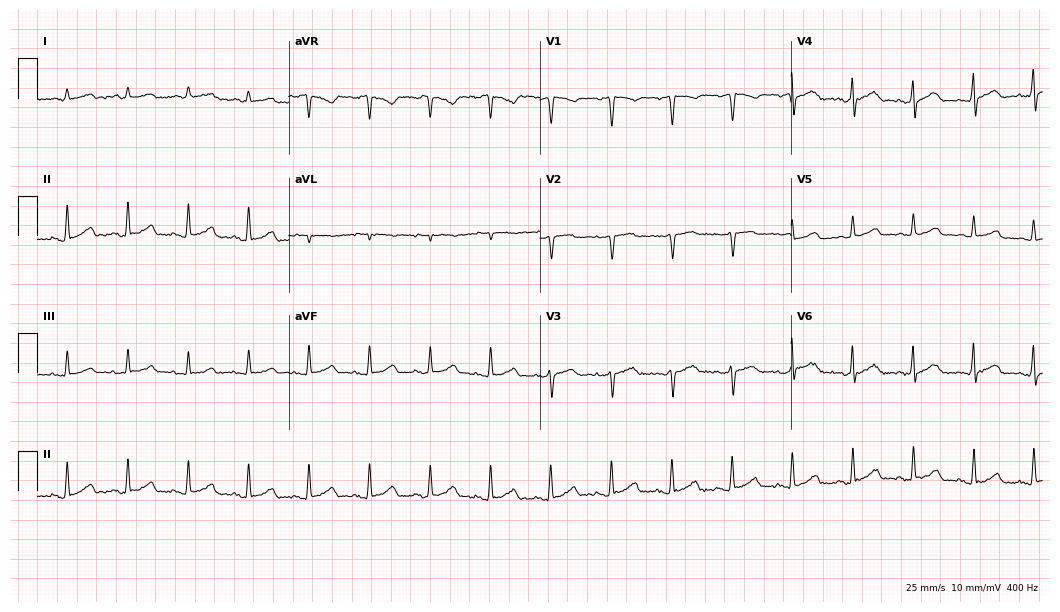
Standard 12-lead ECG recorded from a male patient, 77 years old. None of these six findings is recorded: first-degree AV block, right bundle branch block, left bundle branch block, sinus bradycardia, atrial fibrillation, sinus tachycardia. Findings outside these six are not listed.